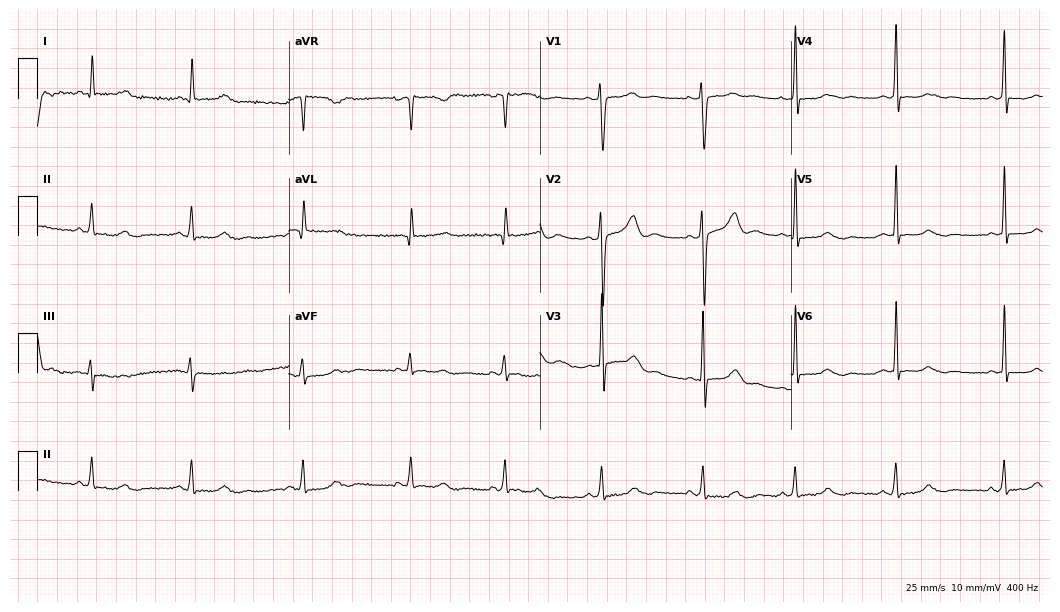
Standard 12-lead ECG recorded from a woman, 40 years old. Read as a normal ECG.